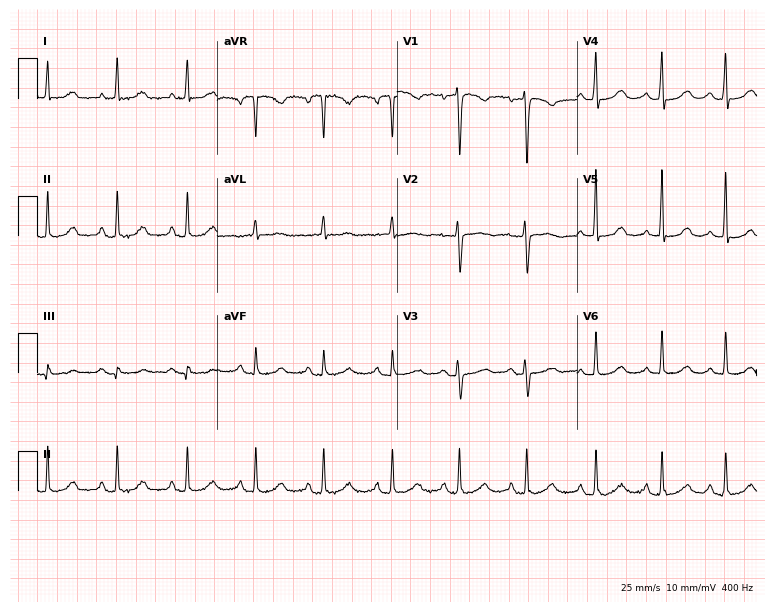
Electrocardiogram, a female patient, 57 years old. Overall reading on record: normal ECG.